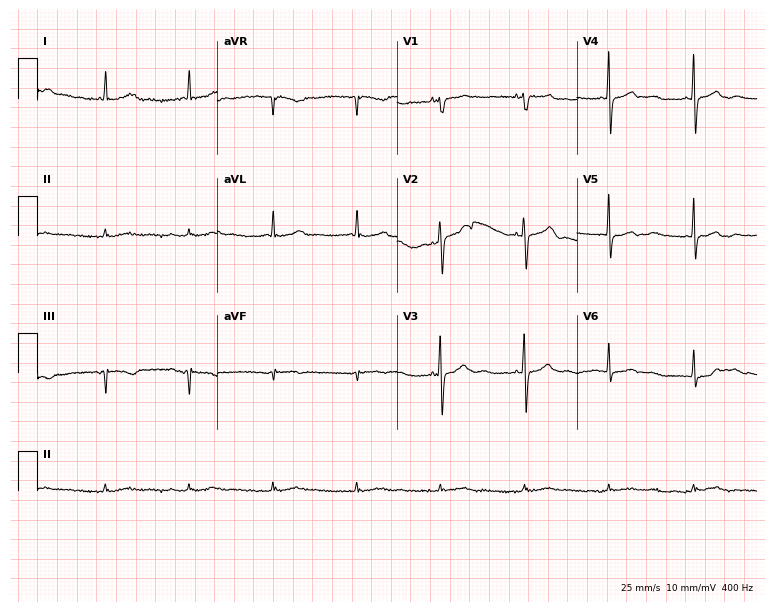
Standard 12-lead ECG recorded from a female, 72 years old (7.3-second recording at 400 Hz). None of these six findings is recorded: first-degree AV block, right bundle branch block, left bundle branch block, sinus bradycardia, atrial fibrillation, sinus tachycardia. Only these six findings were labelled.